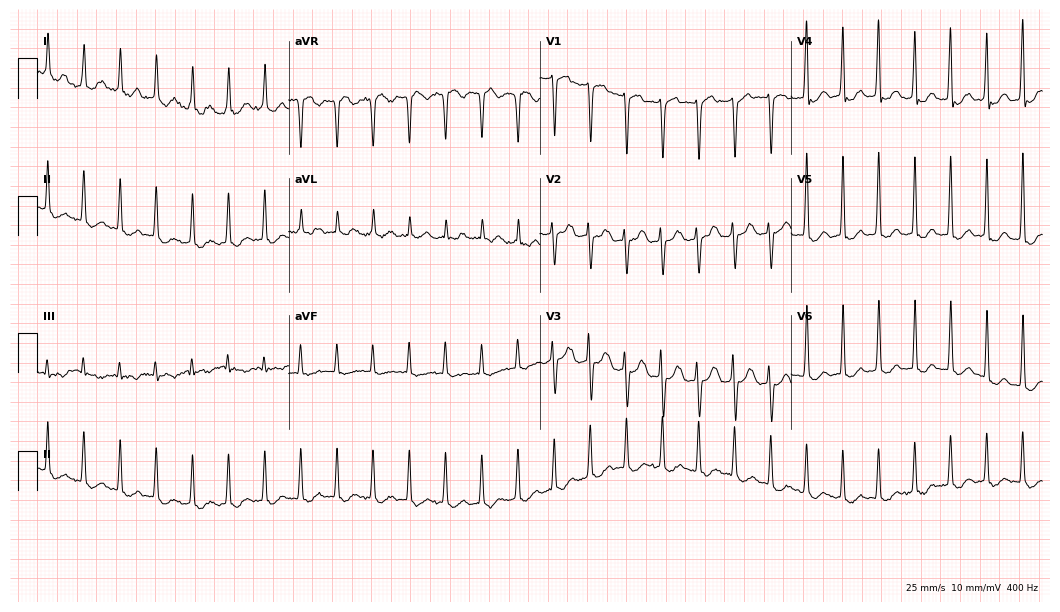
ECG — a male, 44 years old. Screened for six findings — first-degree AV block, right bundle branch block (RBBB), left bundle branch block (LBBB), sinus bradycardia, atrial fibrillation (AF), sinus tachycardia — none is recorded.